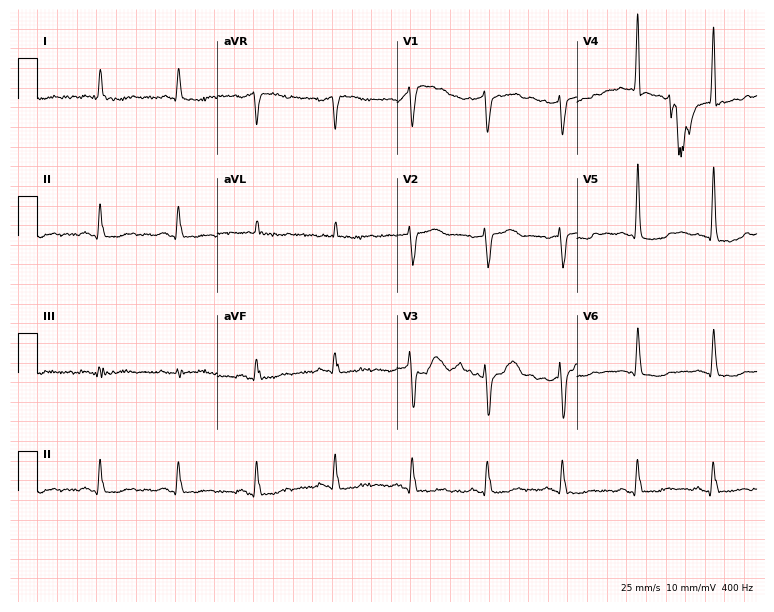
Standard 12-lead ECG recorded from a male, 82 years old (7.3-second recording at 400 Hz). None of these six findings is recorded: first-degree AV block, right bundle branch block, left bundle branch block, sinus bradycardia, atrial fibrillation, sinus tachycardia.